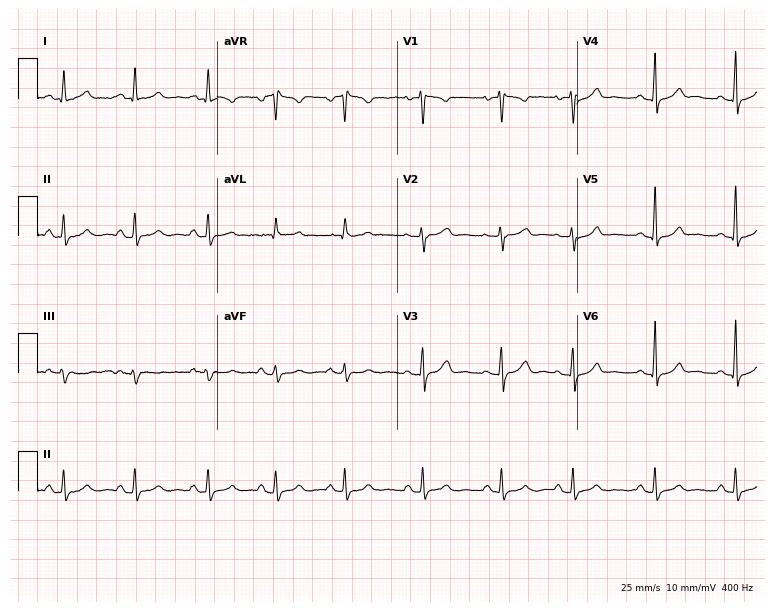
12-lead ECG from a 25-year-old female patient (7.3-second recording at 400 Hz). Recorded interpretation: within normal limits.